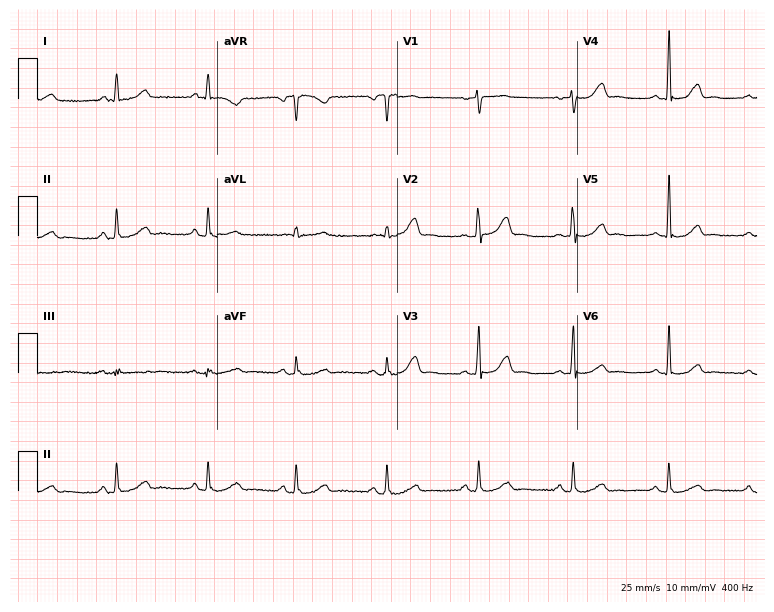
12-lead ECG (7.3-second recording at 400 Hz) from a male patient, 52 years old. Labelled as a normal ECG.